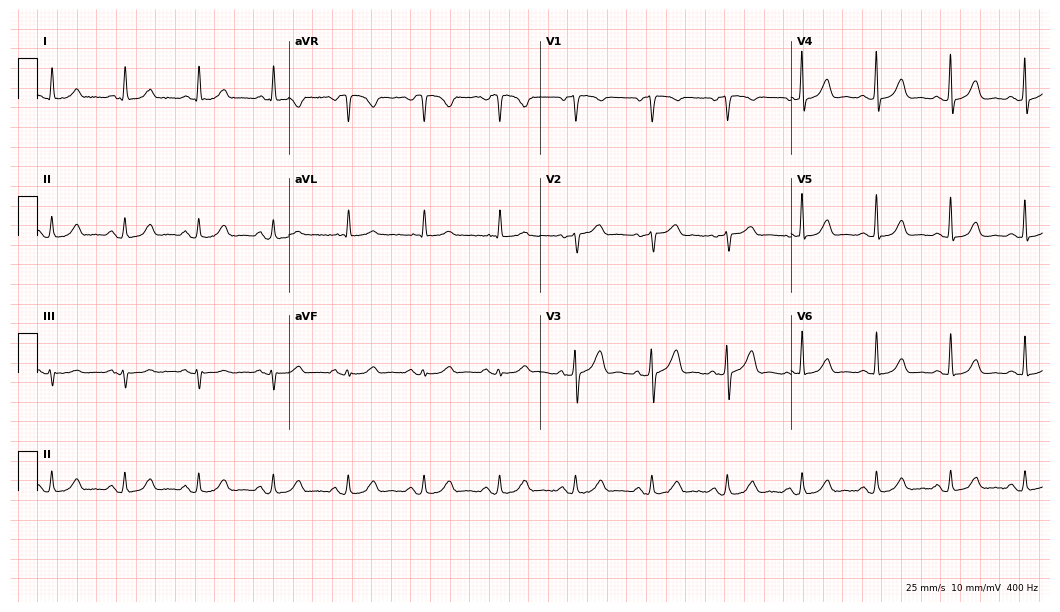
12-lead ECG (10.2-second recording at 400 Hz) from a female, 79 years old. Labelled as a normal ECG.